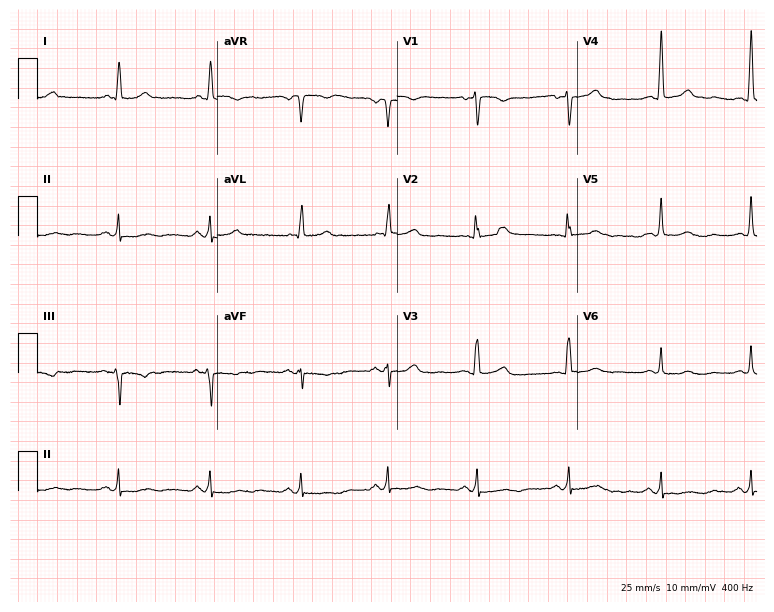
Standard 12-lead ECG recorded from a 65-year-old female patient (7.3-second recording at 400 Hz). None of these six findings is recorded: first-degree AV block, right bundle branch block, left bundle branch block, sinus bradycardia, atrial fibrillation, sinus tachycardia.